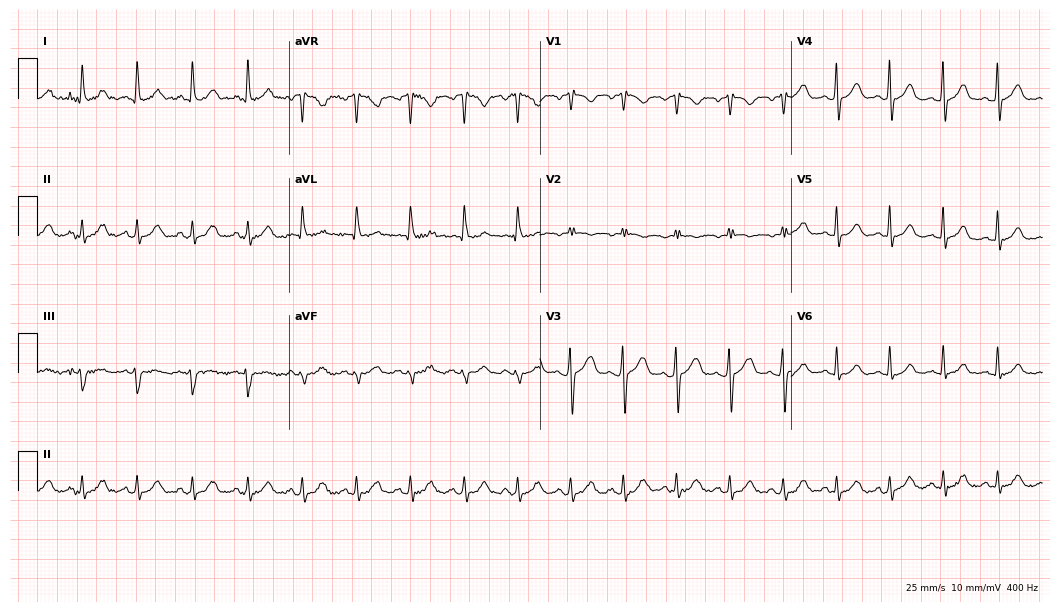
12-lead ECG from a 37-year-old female patient. Shows sinus tachycardia (a sinus rate of 100 beats per minute or more).